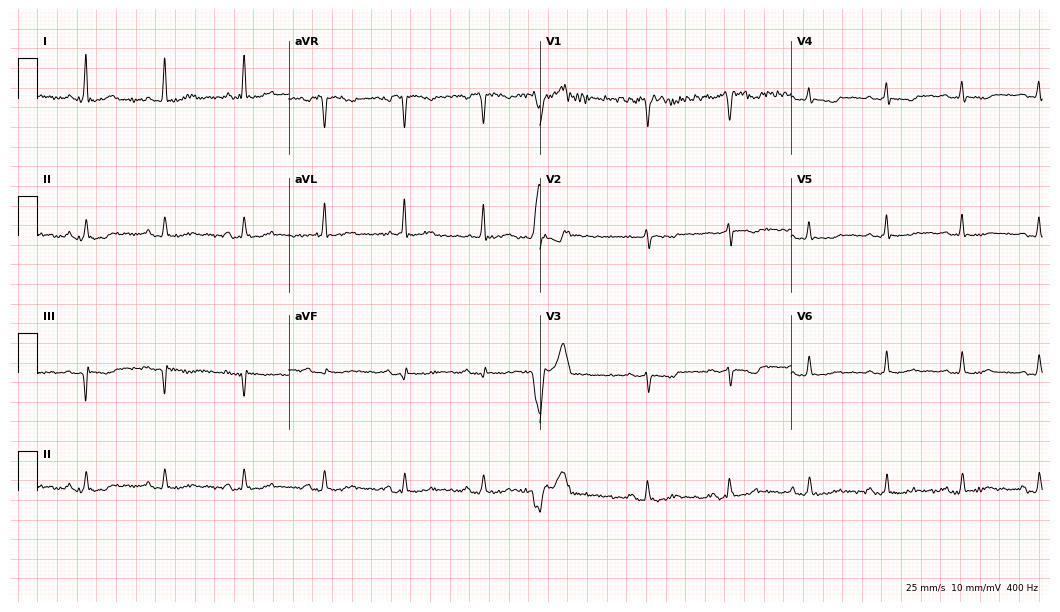
Standard 12-lead ECG recorded from a female patient, 52 years old. None of these six findings is recorded: first-degree AV block, right bundle branch block, left bundle branch block, sinus bradycardia, atrial fibrillation, sinus tachycardia. Other findings, if any, are not listed.